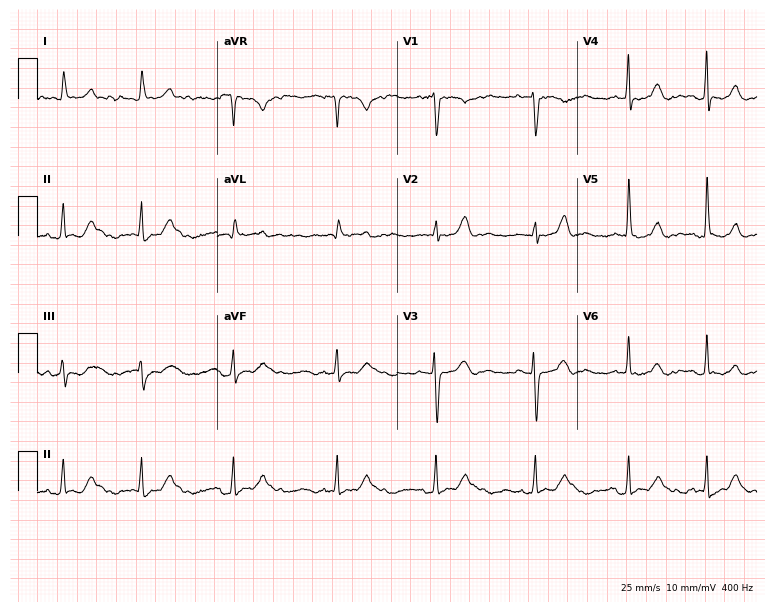
Standard 12-lead ECG recorded from a 69-year-old woman. None of these six findings is recorded: first-degree AV block, right bundle branch block, left bundle branch block, sinus bradycardia, atrial fibrillation, sinus tachycardia.